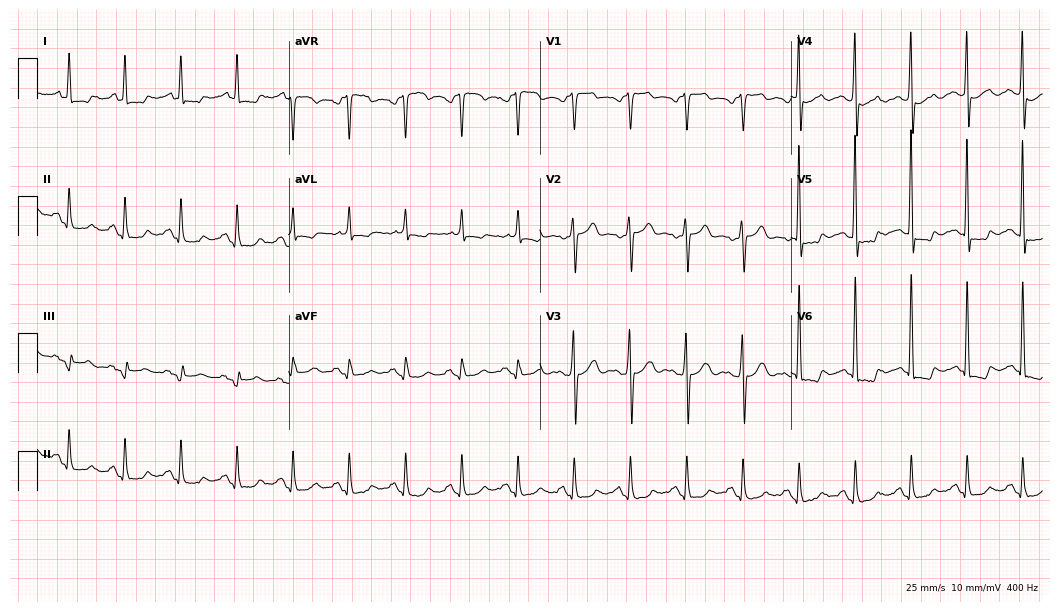
Resting 12-lead electrocardiogram. Patient: a 60-year-old man. The tracing shows sinus tachycardia (a sinus rate of 100 beats per minute or more).